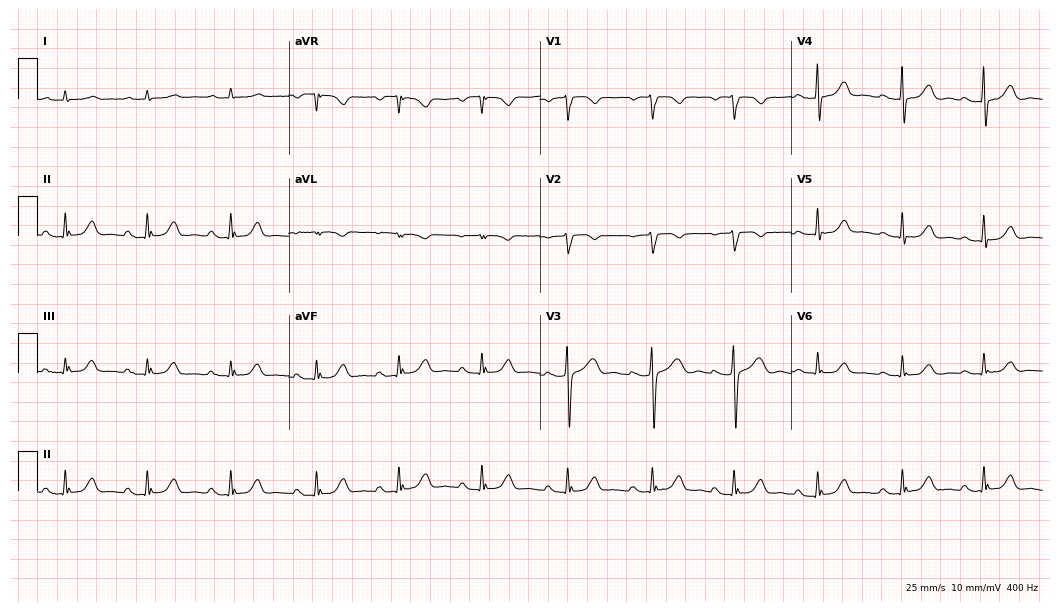
12-lead ECG from a 65-year-old female (10.2-second recording at 400 Hz). Recorded interpretation: within normal limits.